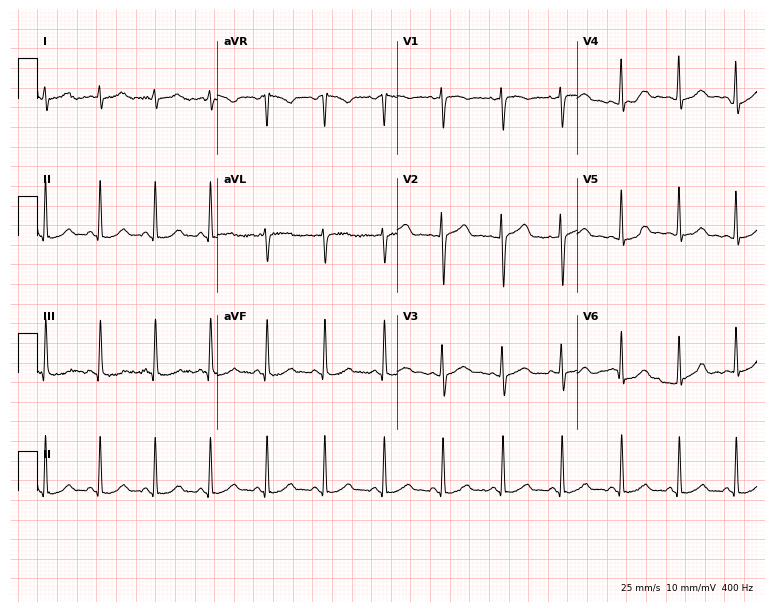
12-lead ECG from a 33-year-old female. Findings include sinus tachycardia (a sinus rate of 100 beats per minute or more).